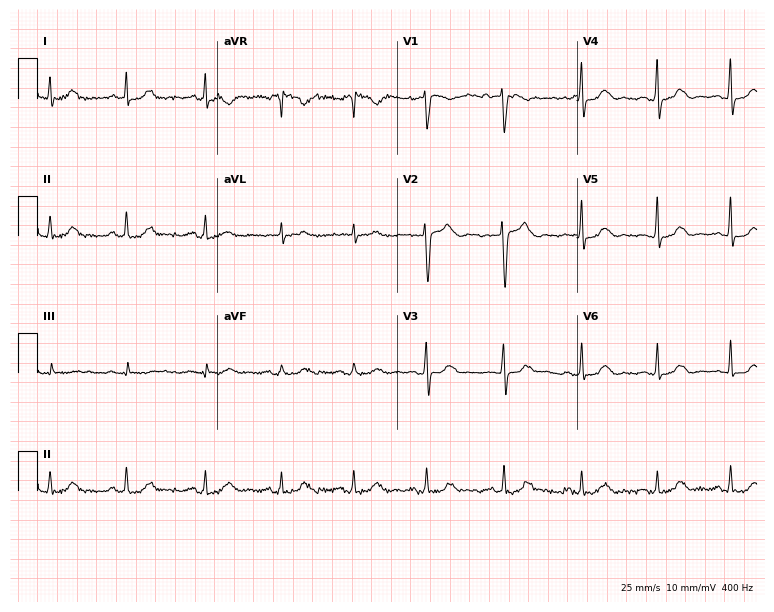
ECG — a woman, 43 years old. Labelled as a normal ECG.